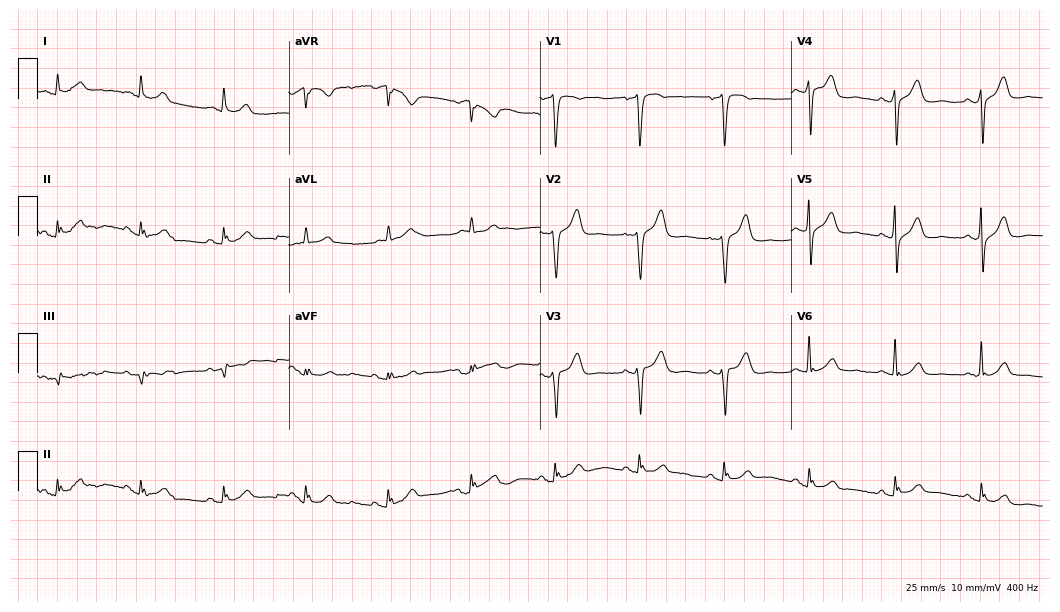
Standard 12-lead ECG recorded from a 76-year-old man (10.2-second recording at 400 Hz). None of these six findings is recorded: first-degree AV block, right bundle branch block, left bundle branch block, sinus bradycardia, atrial fibrillation, sinus tachycardia.